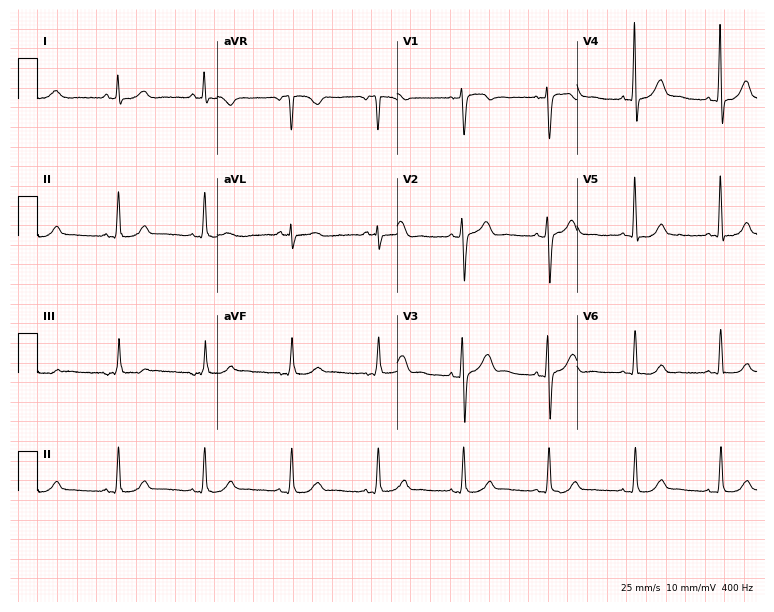
ECG (7.3-second recording at 400 Hz) — a woman, 56 years old. Labelled as a normal ECG.